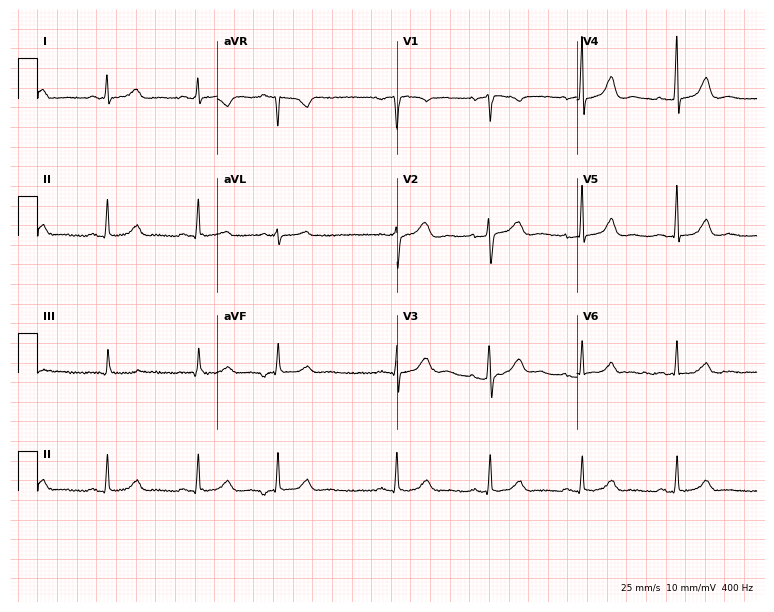
12-lead ECG from a 47-year-old female patient. No first-degree AV block, right bundle branch block (RBBB), left bundle branch block (LBBB), sinus bradycardia, atrial fibrillation (AF) or sinus tachycardia recorded for this tracing. Only these six findings were labelled.